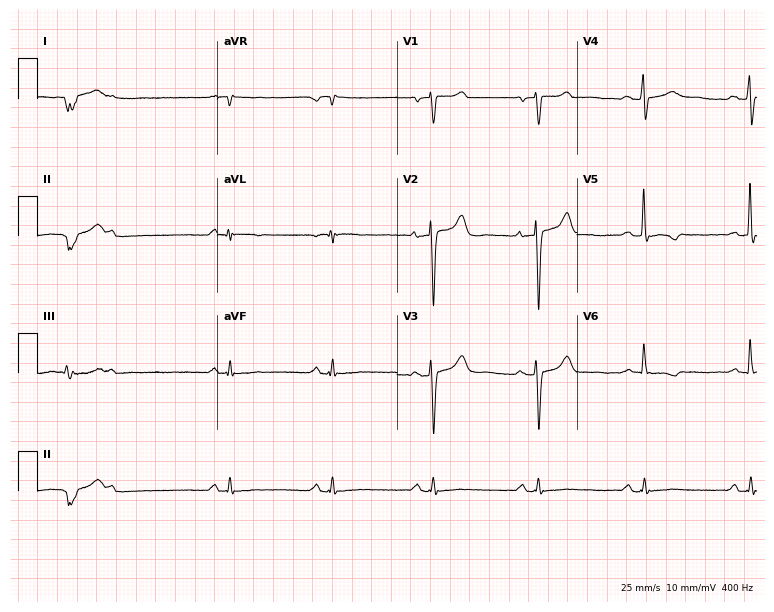
Standard 12-lead ECG recorded from a 54-year-old man (7.3-second recording at 400 Hz). Read as a normal ECG.